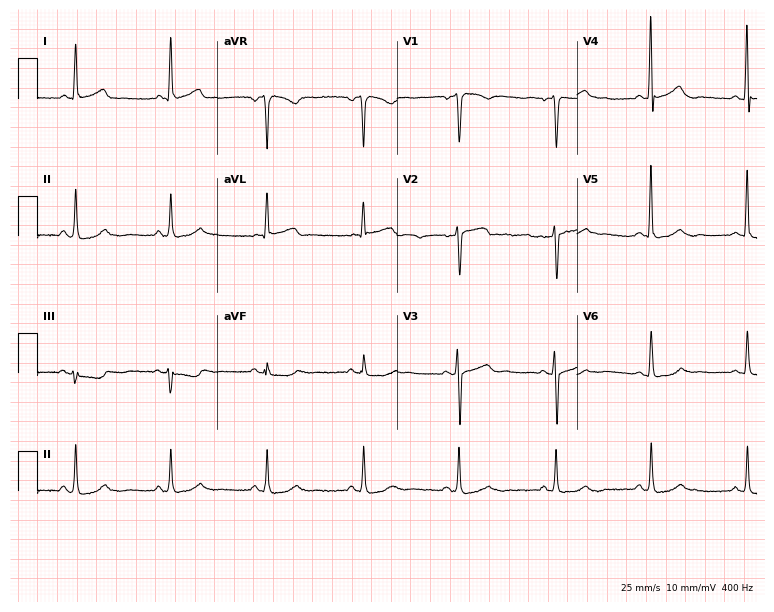
ECG — a woman, 45 years old. Screened for six findings — first-degree AV block, right bundle branch block (RBBB), left bundle branch block (LBBB), sinus bradycardia, atrial fibrillation (AF), sinus tachycardia — none is recorded. Findings outside these six are not listed.